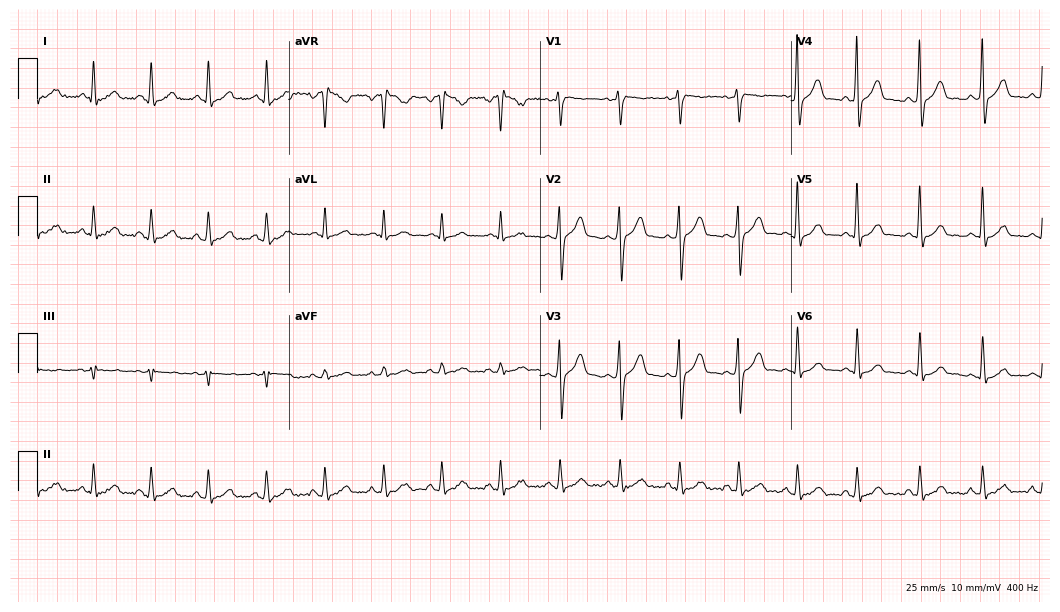
ECG — a male patient, 40 years old. Screened for six findings — first-degree AV block, right bundle branch block, left bundle branch block, sinus bradycardia, atrial fibrillation, sinus tachycardia — none is recorded. Other findings, if any, are not listed.